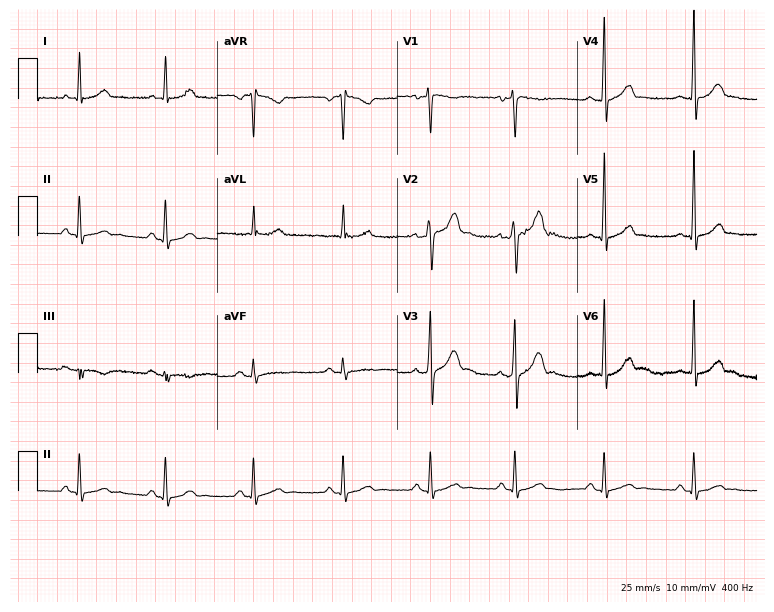
Resting 12-lead electrocardiogram (7.3-second recording at 400 Hz). Patient: a male, 28 years old. Read as a normal ECG.